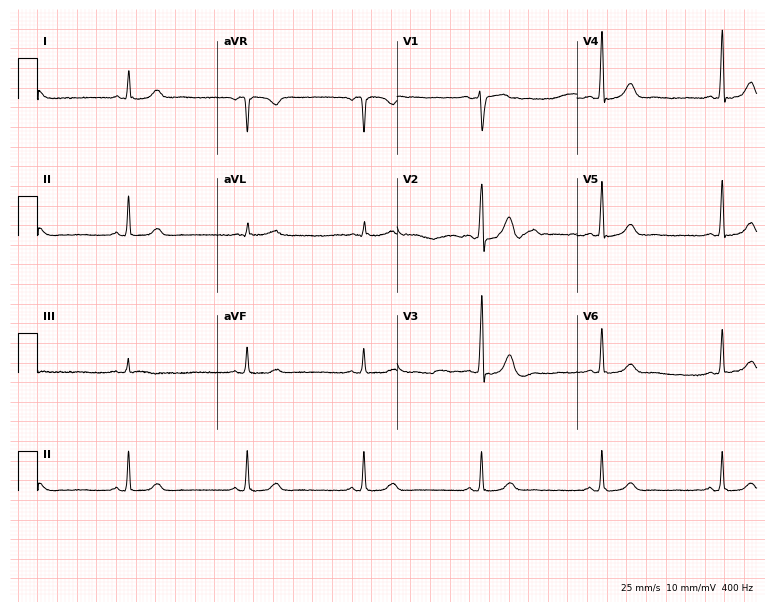
Electrocardiogram (7.3-second recording at 400 Hz), a 55-year-old male patient. Of the six screened findings (first-degree AV block, right bundle branch block, left bundle branch block, sinus bradycardia, atrial fibrillation, sinus tachycardia), none is recorded. Other findings, if any, are not listed.